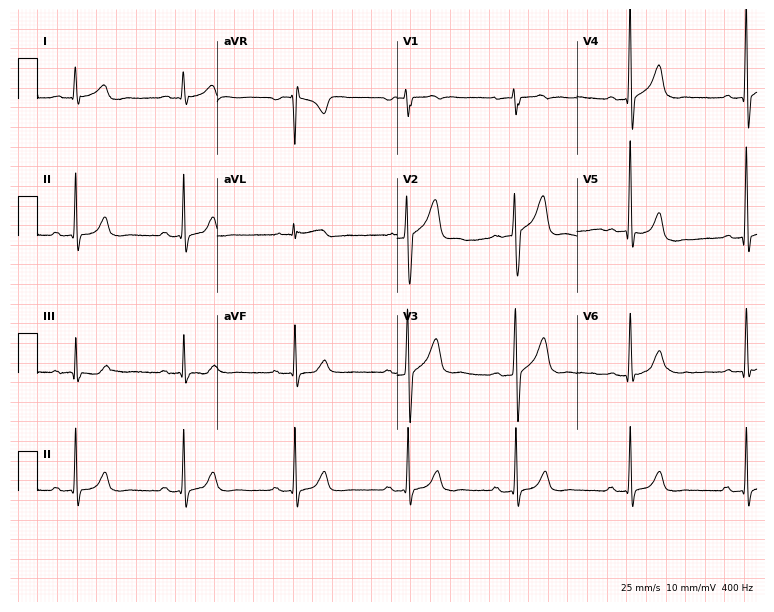
ECG (7.3-second recording at 400 Hz) — a 65-year-old man. Screened for six findings — first-degree AV block, right bundle branch block, left bundle branch block, sinus bradycardia, atrial fibrillation, sinus tachycardia — none is recorded. Other findings, if any, are not listed.